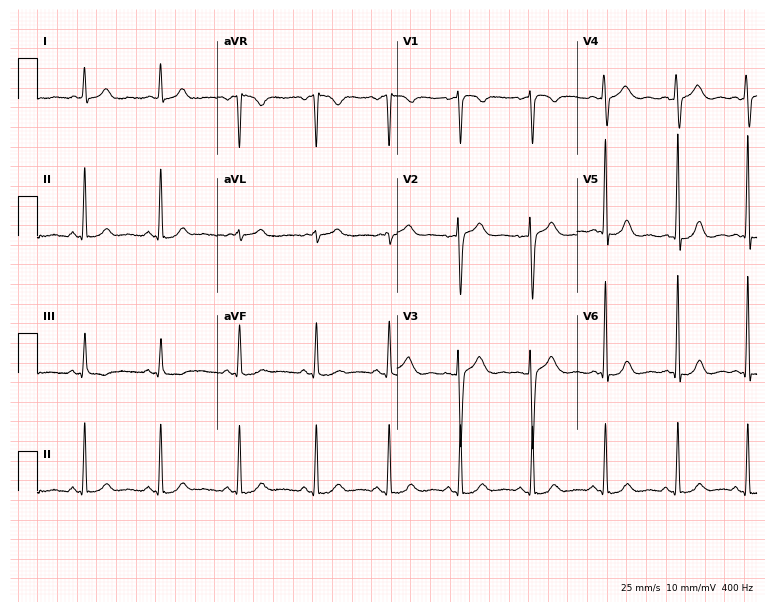
Resting 12-lead electrocardiogram (7.3-second recording at 400 Hz). Patient: a female, 42 years old. None of these six findings is recorded: first-degree AV block, right bundle branch block, left bundle branch block, sinus bradycardia, atrial fibrillation, sinus tachycardia.